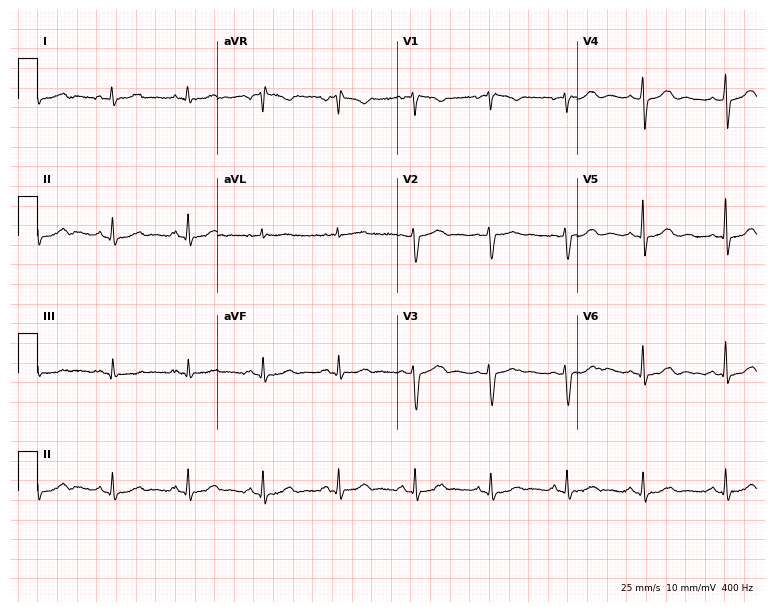
Resting 12-lead electrocardiogram. Patient: a female, 56 years old. Read as a normal ECG.